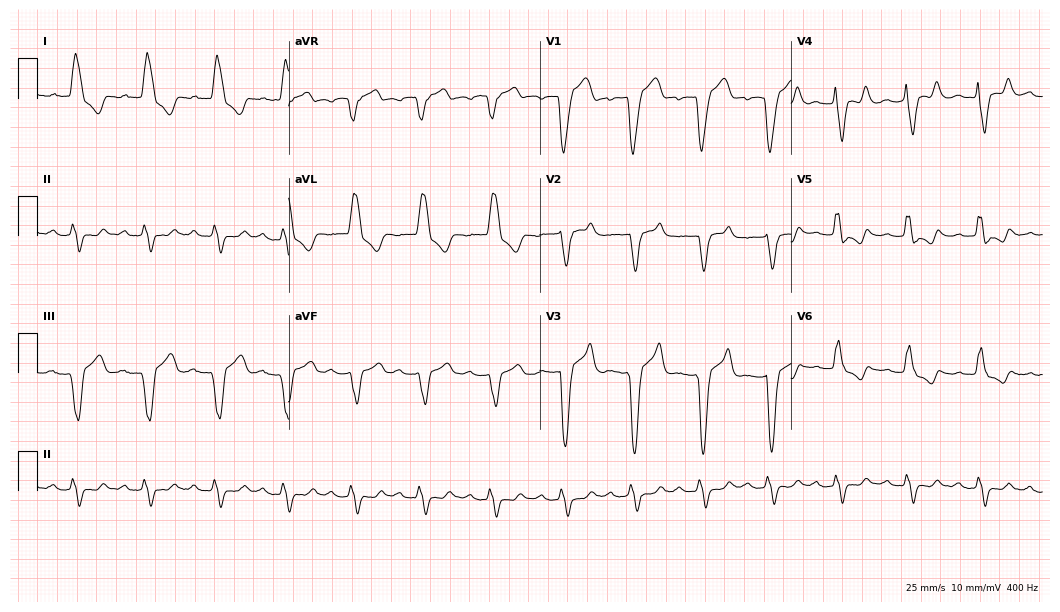
12-lead ECG (10.2-second recording at 400 Hz) from a 66-year-old male patient. Findings include left bundle branch block (LBBB).